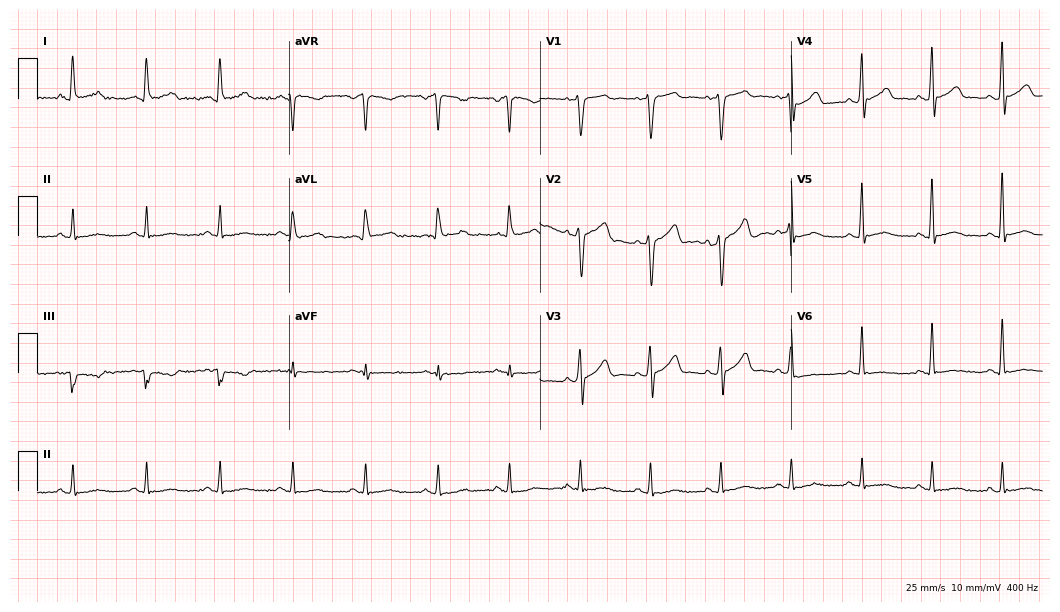
12-lead ECG from a male patient, 48 years old. No first-degree AV block, right bundle branch block, left bundle branch block, sinus bradycardia, atrial fibrillation or sinus tachycardia recorded for this tracing. Only these six findings were labelled.